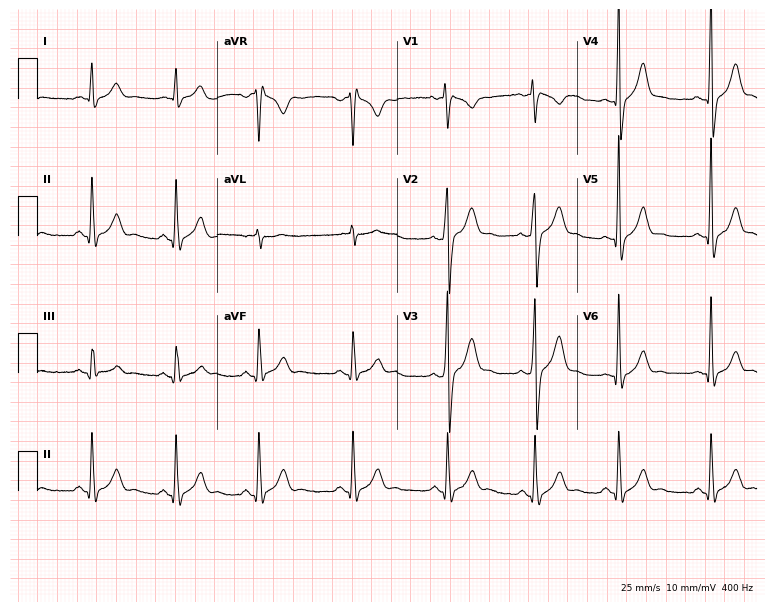
ECG — a 32-year-old man. Screened for six findings — first-degree AV block, right bundle branch block (RBBB), left bundle branch block (LBBB), sinus bradycardia, atrial fibrillation (AF), sinus tachycardia — none is recorded. Only these six findings were labelled.